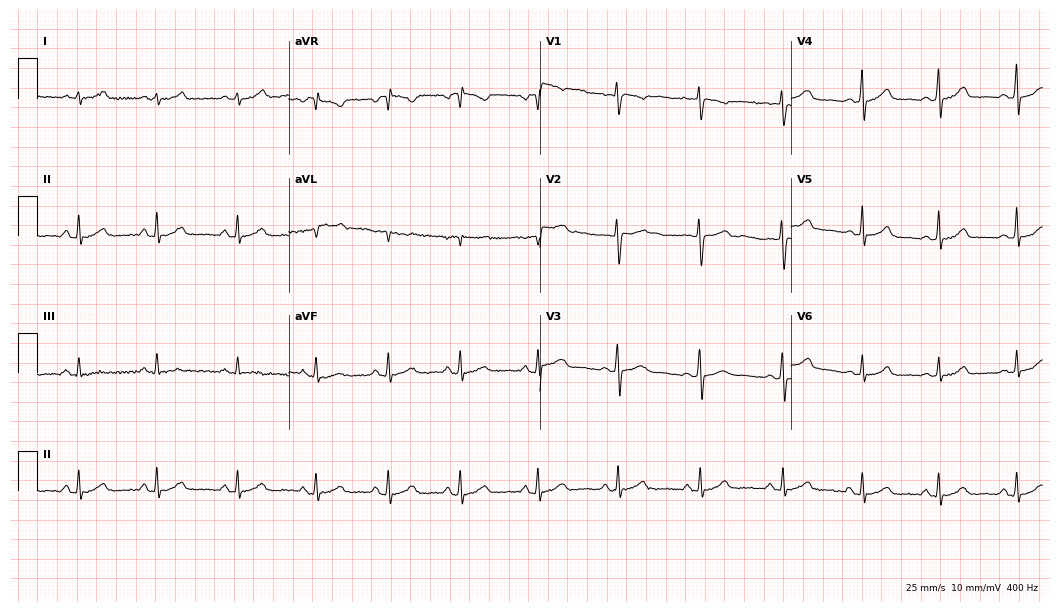
Standard 12-lead ECG recorded from a female, 30 years old. Read as a normal ECG.